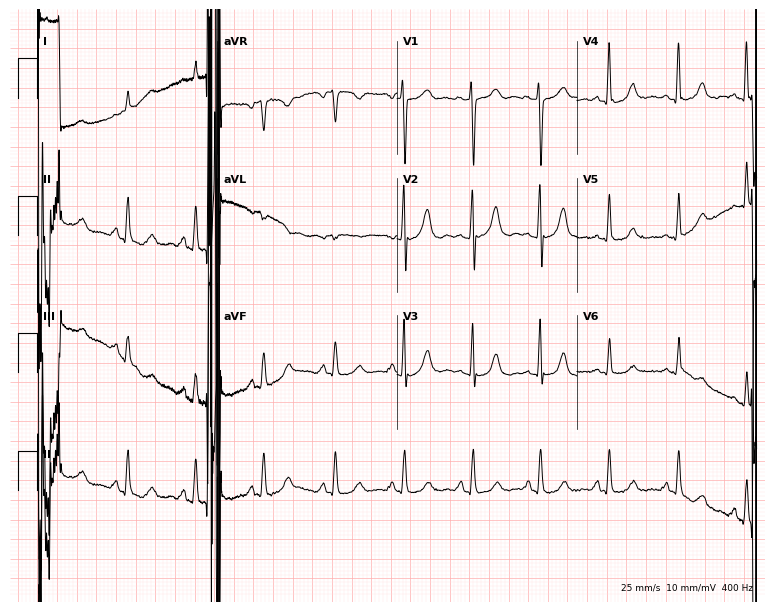
Standard 12-lead ECG recorded from a 67-year-old male. None of these six findings is recorded: first-degree AV block, right bundle branch block (RBBB), left bundle branch block (LBBB), sinus bradycardia, atrial fibrillation (AF), sinus tachycardia. Other findings, if any, are not listed.